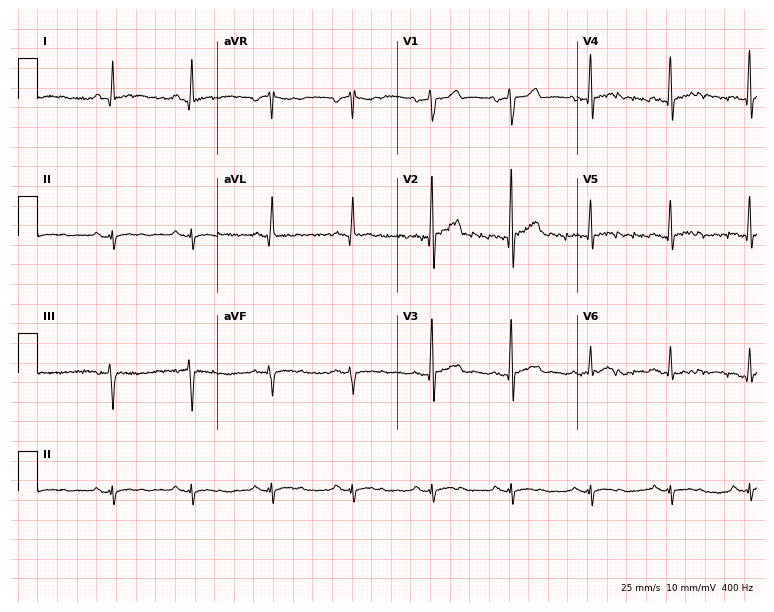
Resting 12-lead electrocardiogram (7.3-second recording at 400 Hz). Patient: a man, 47 years old. None of these six findings is recorded: first-degree AV block, right bundle branch block, left bundle branch block, sinus bradycardia, atrial fibrillation, sinus tachycardia. Other findings, if any, are not listed.